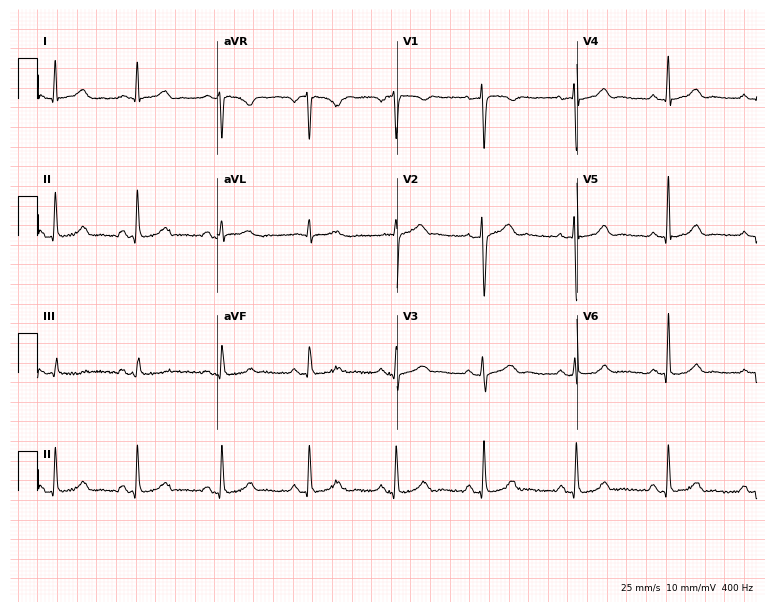
ECG (7.3-second recording at 400 Hz) — a female, 43 years old. Screened for six findings — first-degree AV block, right bundle branch block, left bundle branch block, sinus bradycardia, atrial fibrillation, sinus tachycardia — none is recorded.